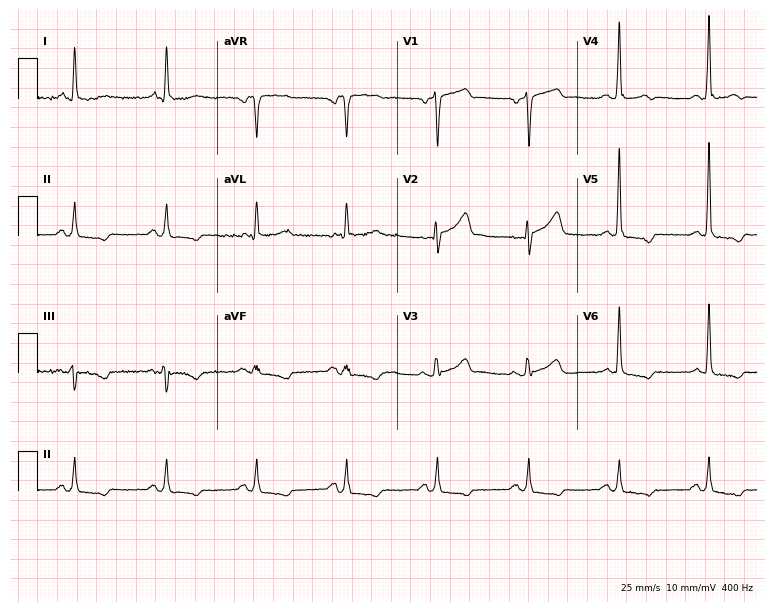
Electrocardiogram, a male patient, 64 years old. Overall reading on record: normal ECG.